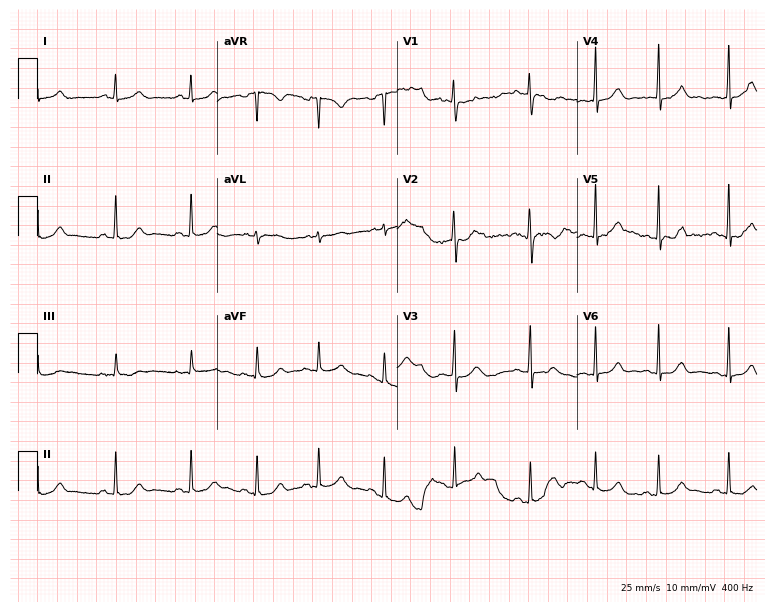
Resting 12-lead electrocardiogram. Patient: a female, 18 years old. Read as a normal ECG.